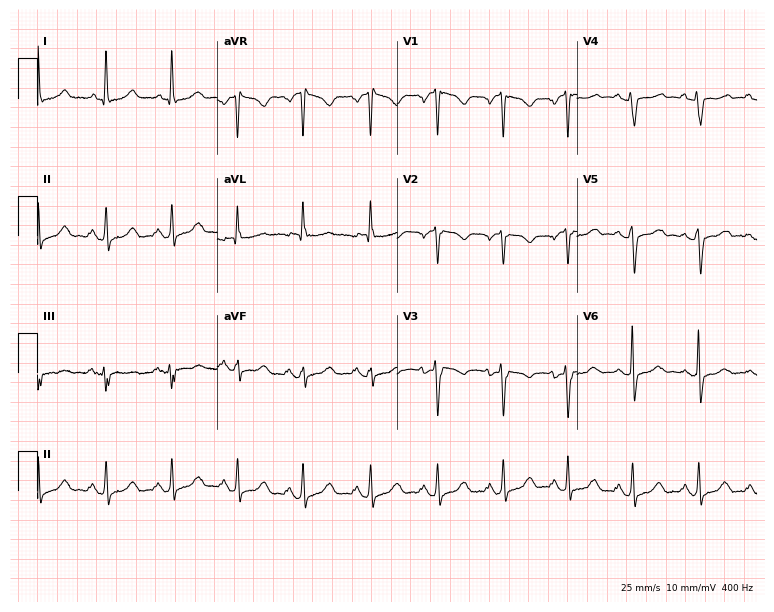
12-lead ECG (7.3-second recording at 400 Hz) from a 66-year-old woman. Screened for six findings — first-degree AV block, right bundle branch block, left bundle branch block, sinus bradycardia, atrial fibrillation, sinus tachycardia — none is recorded. Other findings, if any, are not listed.